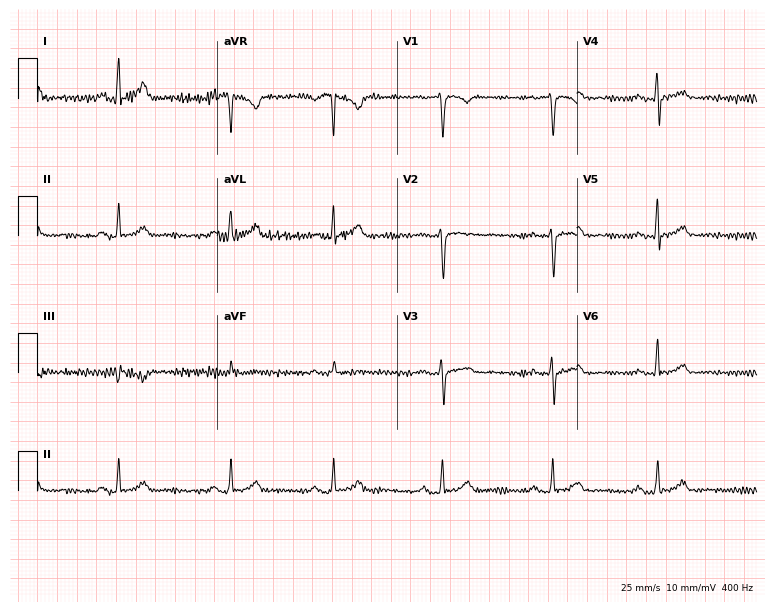
Resting 12-lead electrocardiogram. Patient: a woman, 31 years old. None of these six findings is recorded: first-degree AV block, right bundle branch block, left bundle branch block, sinus bradycardia, atrial fibrillation, sinus tachycardia. Findings outside these six are not listed.